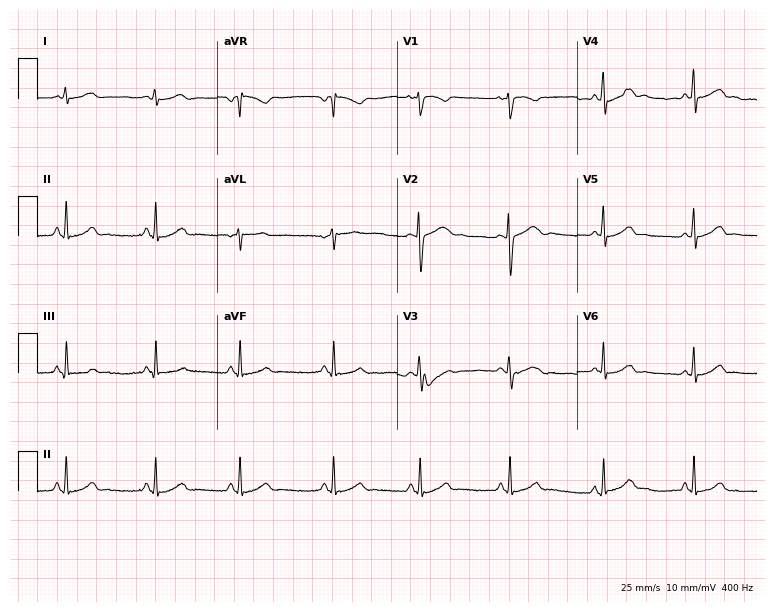
ECG — a 22-year-old female. Screened for six findings — first-degree AV block, right bundle branch block, left bundle branch block, sinus bradycardia, atrial fibrillation, sinus tachycardia — none is recorded. Findings outside these six are not listed.